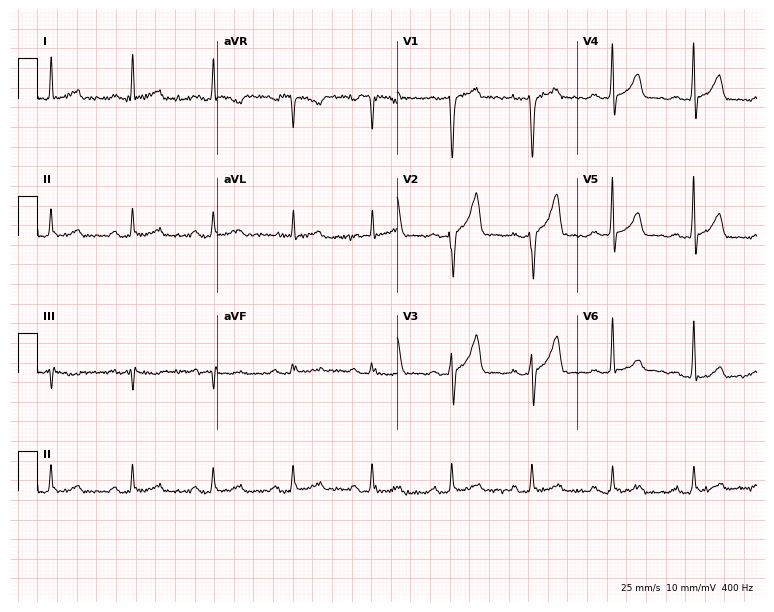
Electrocardiogram, a male, 42 years old. Of the six screened findings (first-degree AV block, right bundle branch block, left bundle branch block, sinus bradycardia, atrial fibrillation, sinus tachycardia), none is recorded. Findings outside these six are not listed.